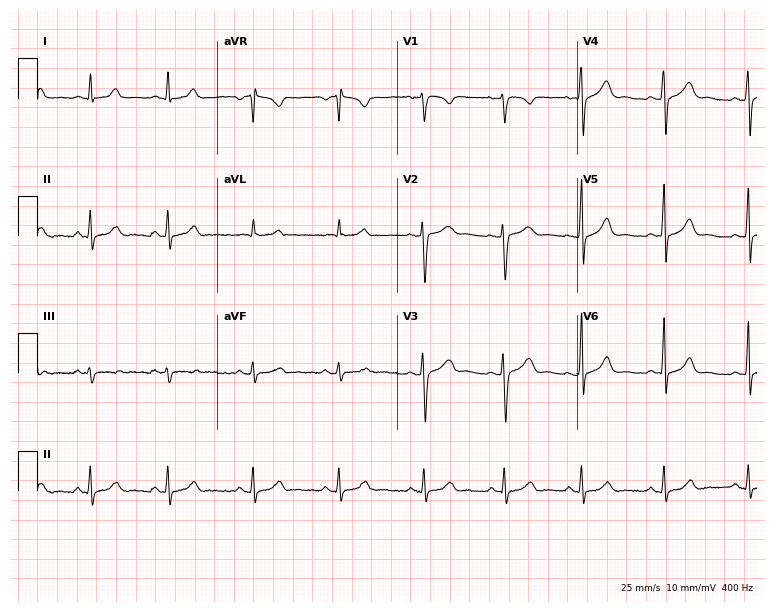
Standard 12-lead ECG recorded from a 29-year-old female. None of these six findings is recorded: first-degree AV block, right bundle branch block (RBBB), left bundle branch block (LBBB), sinus bradycardia, atrial fibrillation (AF), sinus tachycardia. Findings outside these six are not listed.